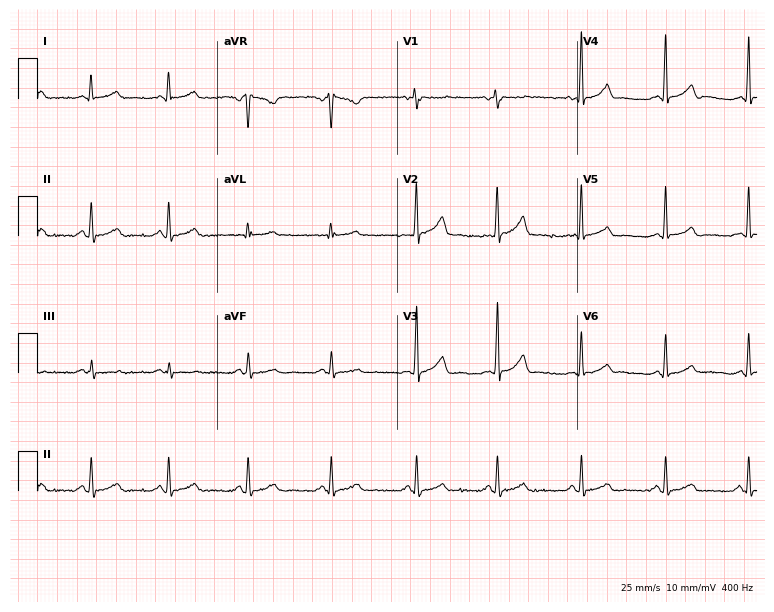
ECG — a 45-year-old female patient. Labelled as a normal ECG.